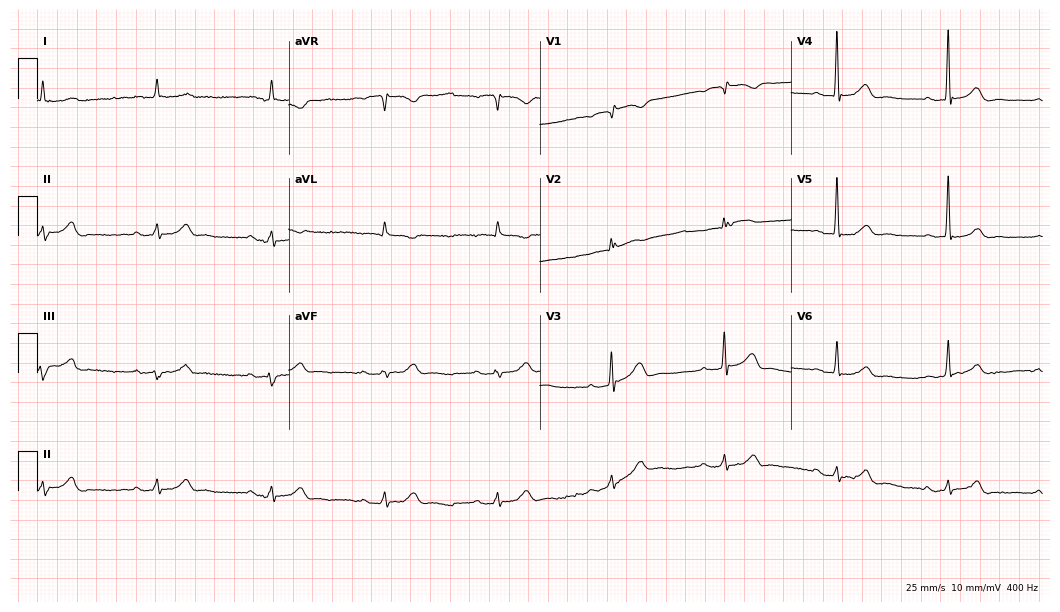
Standard 12-lead ECG recorded from a male patient, 83 years old. None of these six findings is recorded: first-degree AV block, right bundle branch block (RBBB), left bundle branch block (LBBB), sinus bradycardia, atrial fibrillation (AF), sinus tachycardia. Other findings, if any, are not listed.